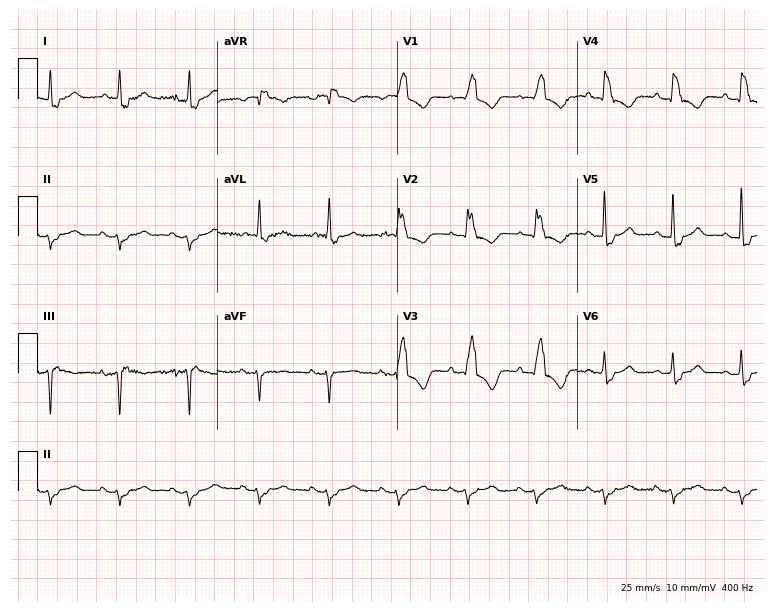
12-lead ECG (7.3-second recording at 400 Hz) from a female, 82 years old. Findings include right bundle branch block (RBBB).